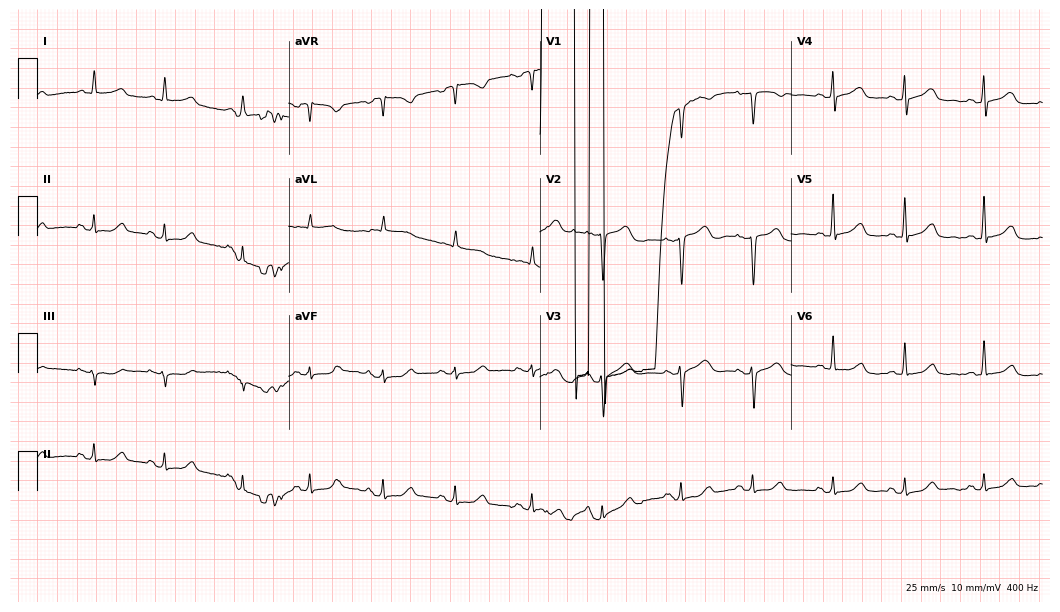
Electrocardiogram (10.2-second recording at 400 Hz), a 57-year-old woman. Of the six screened findings (first-degree AV block, right bundle branch block (RBBB), left bundle branch block (LBBB), sinus bradycardia, atrial fibrillation (AF), sinus tachycardia), none is recorded. Other findings, if any, are not listed.